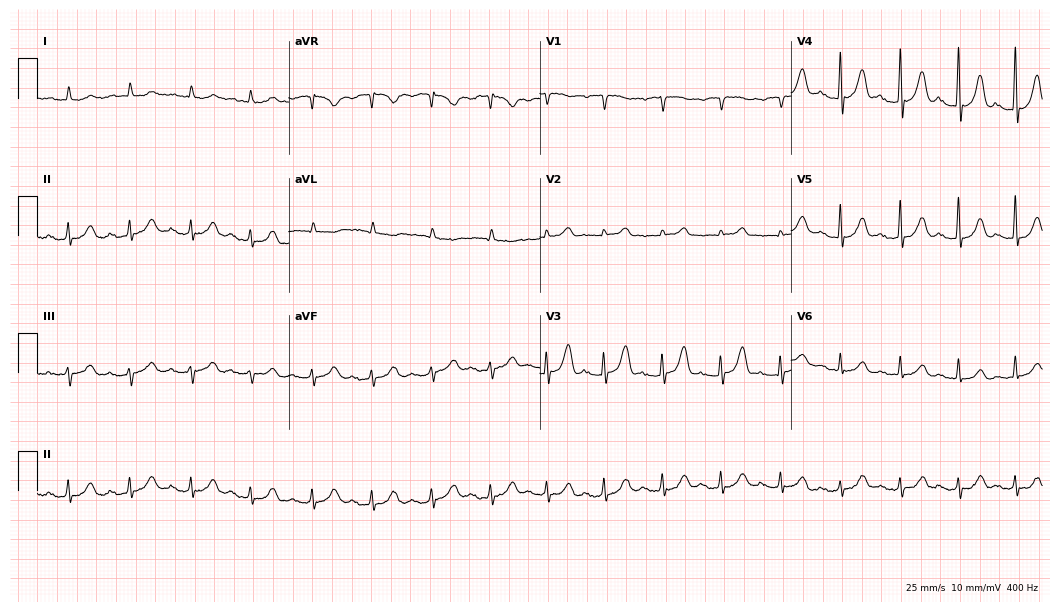
Electrocardiogram, an 82-year-old female patient. Overall reading on record: normal ECG.